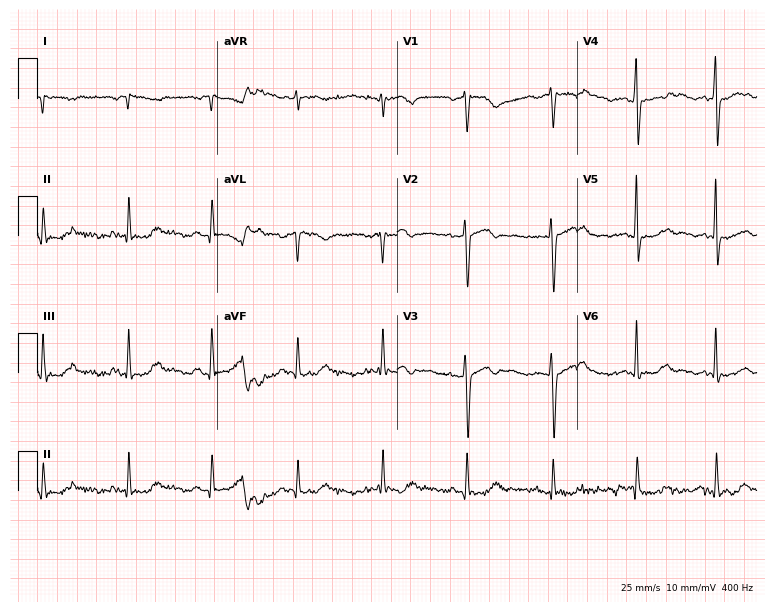
12-lead ECG (7.3-second recording at 400 Hz) from a 48-year-old female. Screened for six findings — first-degree AV block, right bundle branch block, left bundle branch block, sinus bradycardia, atrial fibrillation, sinus tachycardia — none is recorded.